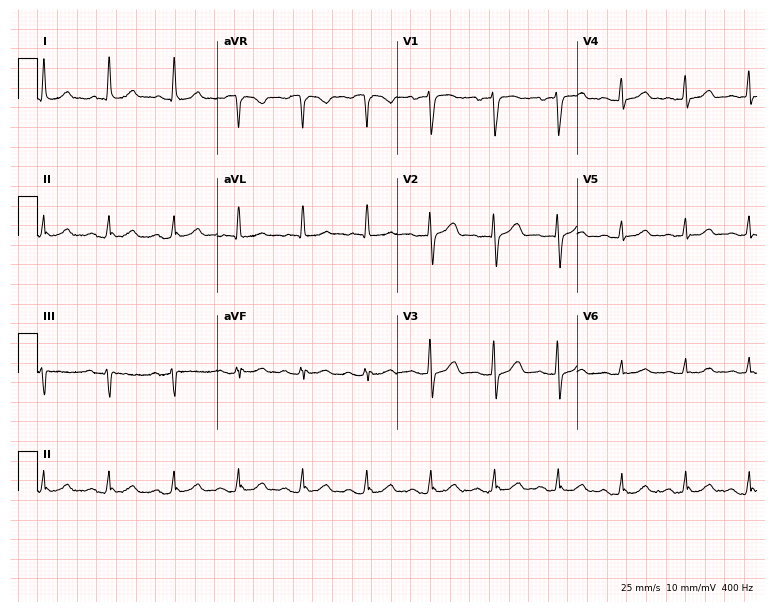
ECG — a female patient, 74 years old. Labelled as a normal ECG.